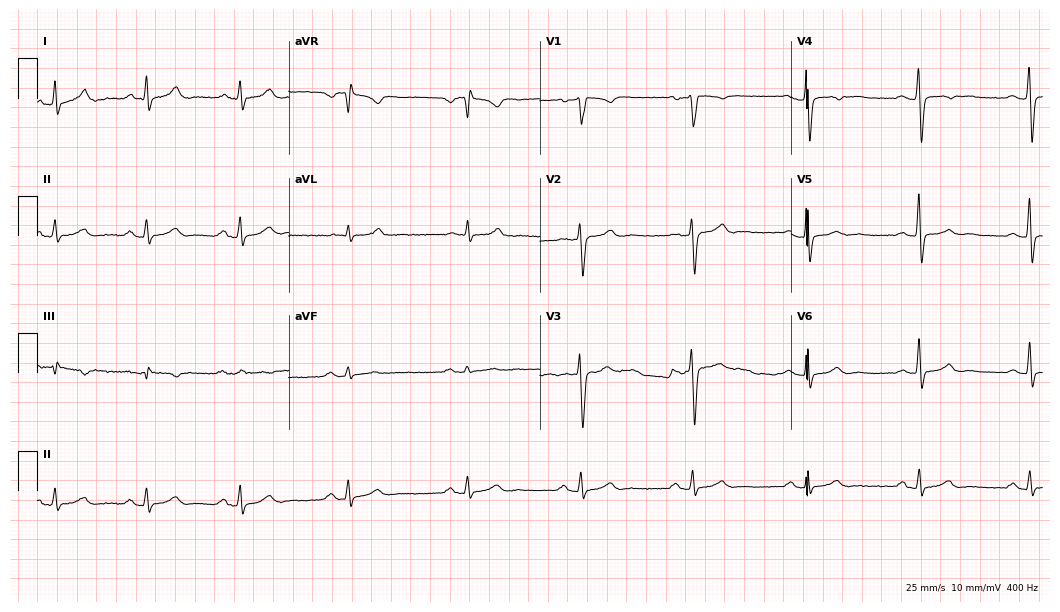
12-lead ECG from a male patient, 36 years old (10.2-second recording at 400 Hz). No first-degree AV block, right bundle branch block (RBBB), left bundle branch block (LBBB), sinus bradycardia, atrial fibrillation (AF) or sinus tachycardia recorded for this tracing.